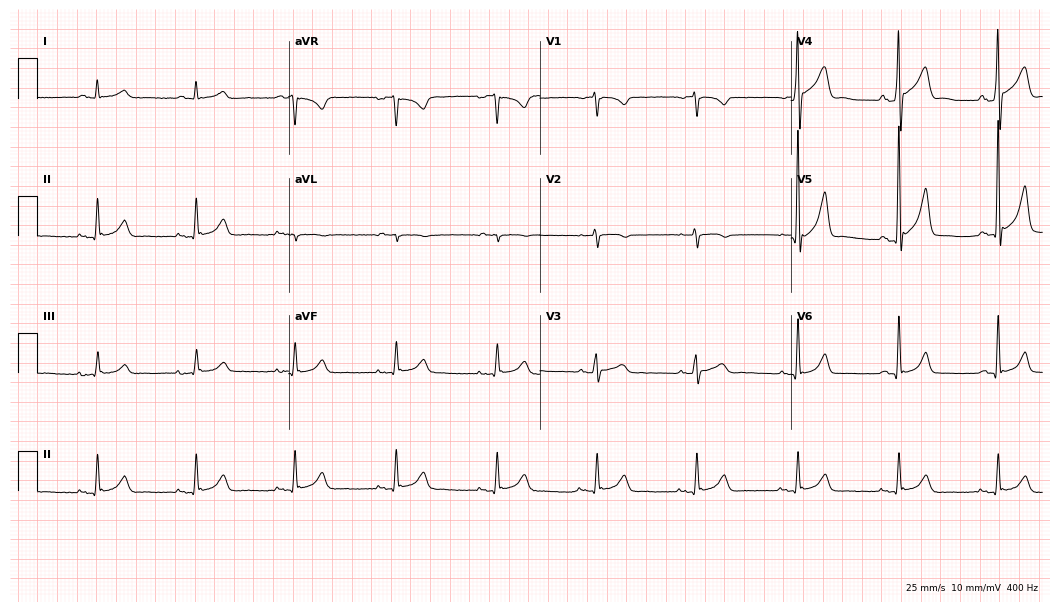
12-lead ECG from a 55-year-old male patient. Screened for six findings — first-degree AV block, right bundle branch block, left bundle branch block, sinus bradycardia, atrial fibrillation, sinus tachycardia — none is recorded.